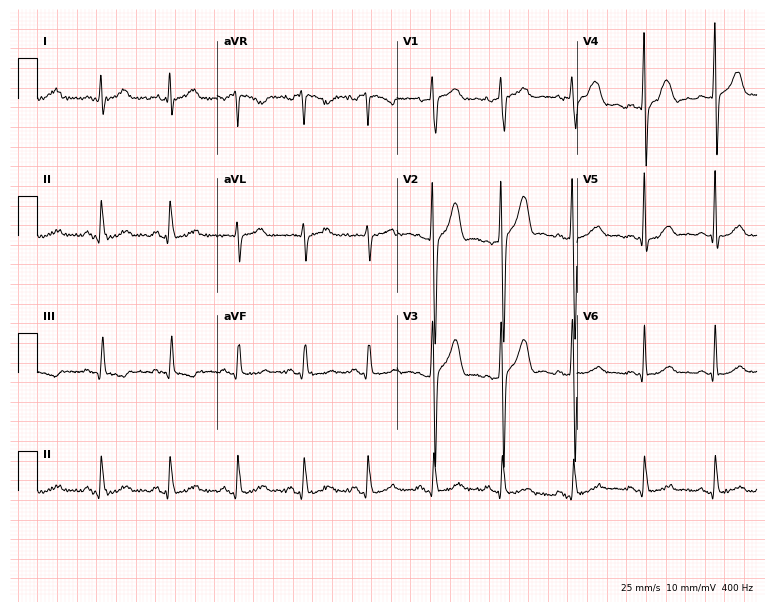
Electrocardiogram (7.3-second recording at 400 Hz), a 35-year-old male patient. Overall reading on record: normal ECG.